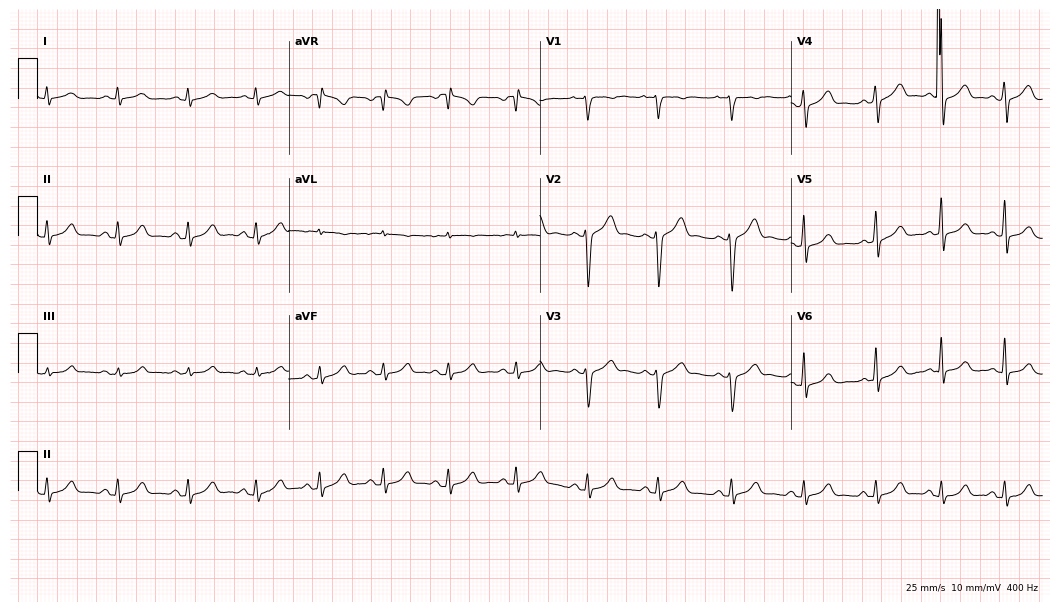
Resting 12-lead electrocardiogram. Patient: a 23-year-old female. None of these six findings is recorded: first-degree AV block, right bundle branch block, left bundle branch block, sinus bradycardia, atrial fibrillation, sinus tachycardia.